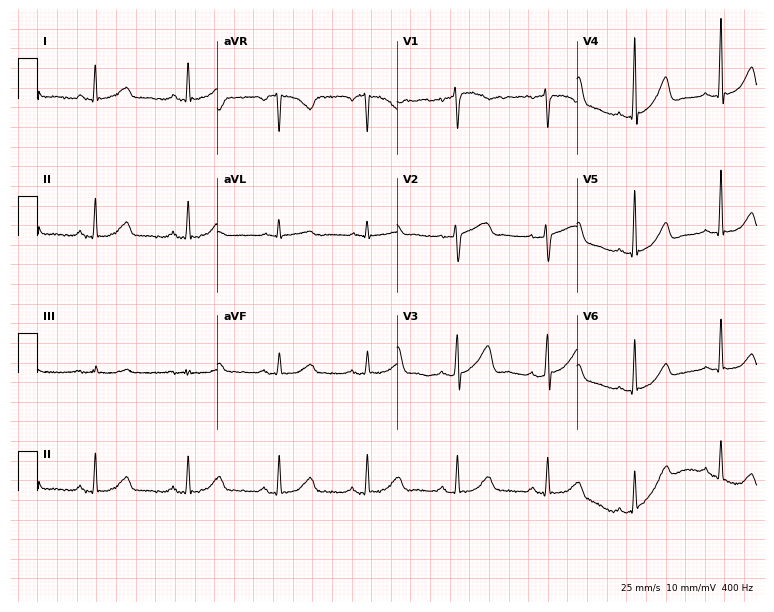
12-lead ECG from a 54-year-old woman (7.3-second recording at 400 Hz). Recorded interpretation: within normal limits.